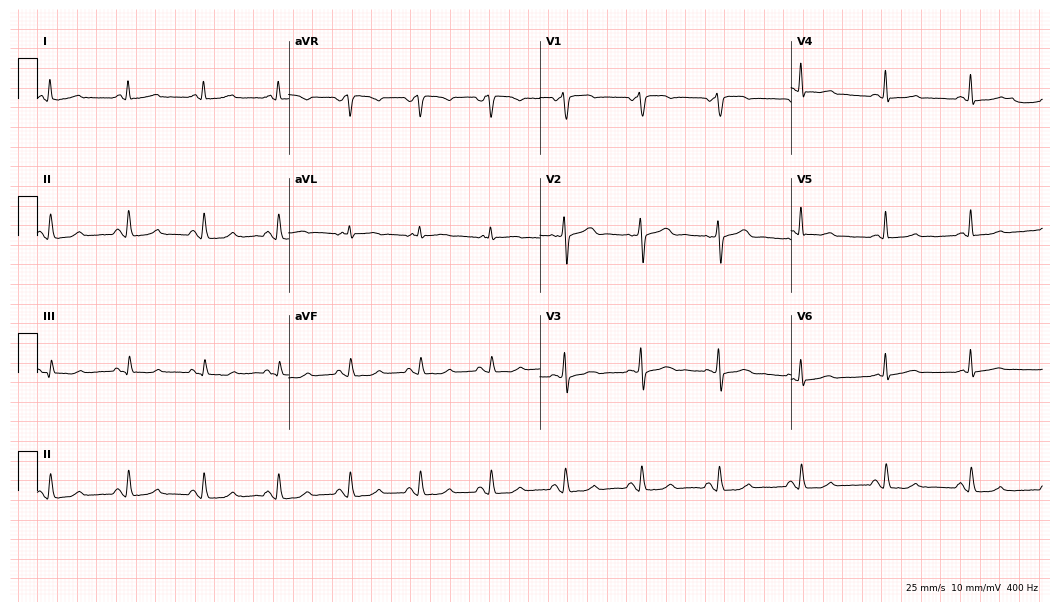
ECG (10.2-second recording at 400 Hz) — a 62-year-old female. Screened for six findings — first-degree AV block, right bundle branch block, left bundle branch block, sinus bradycardia, atrial fibrillation, sinus tachycardia — none is recorded. Only these six findings were labelled.